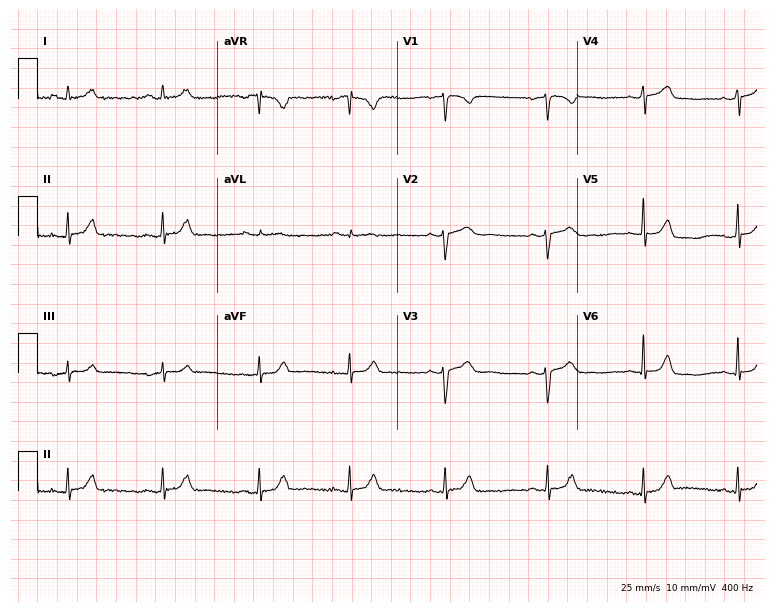
Electrocardiogram, an 18-year-old female patient. Overall reading on record: normal ECG.